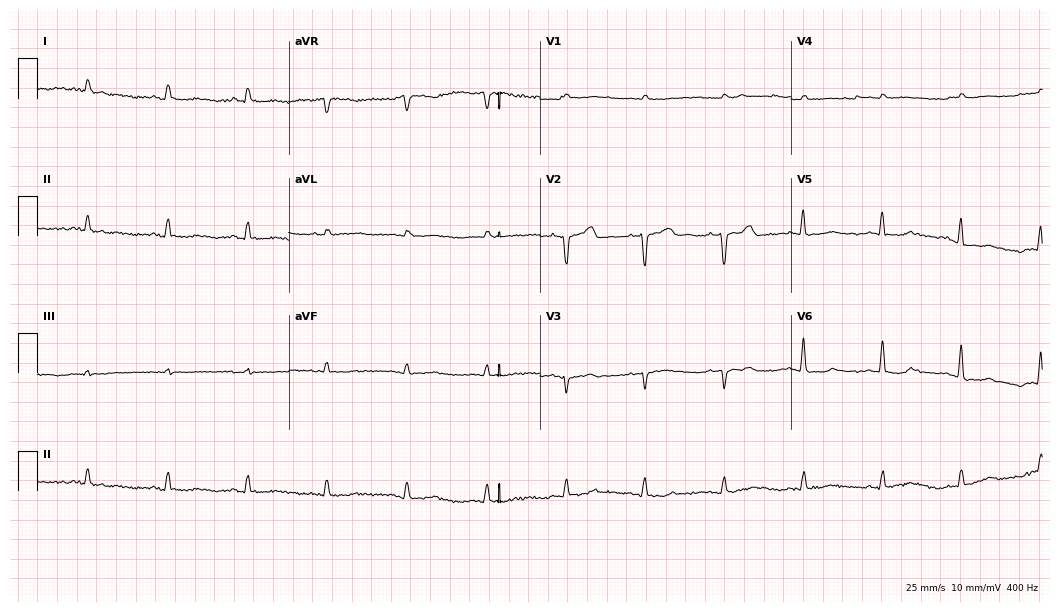
12-lead ECG from an 80-year-old male (10.2-second recording at 400 Hz). No first-degree AV block, right bundle branch block (RBBB), left bundle branch block (LBBB), sinus bradycardia, atrial fibrillation (AF) or sinus tachycardia recorded for this tracing.